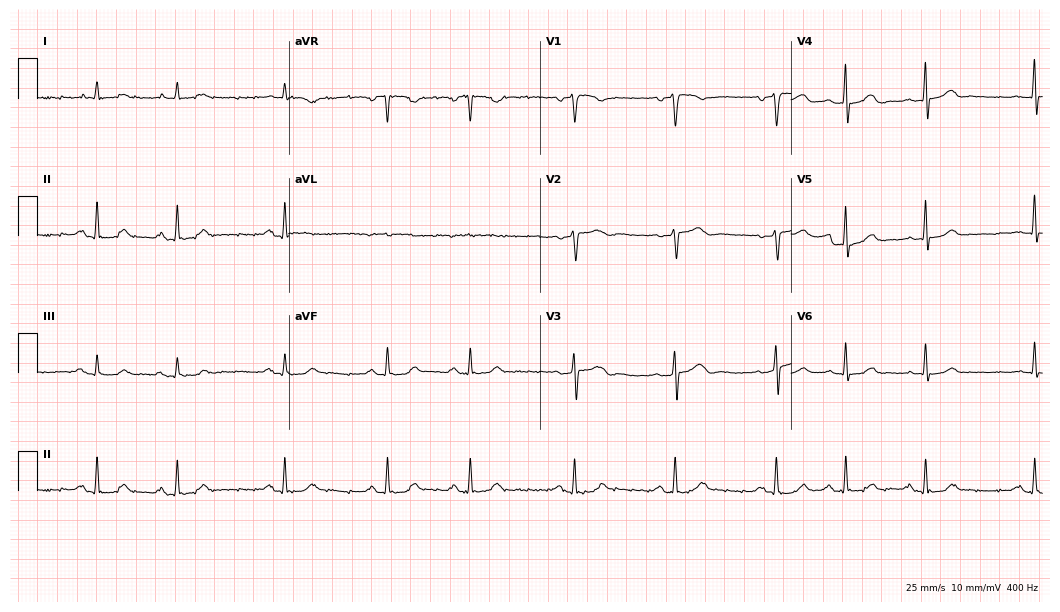
ECG (10.2-second recording at 400 Hz) — a man, 66 years old. Labelled as a normal ECG.